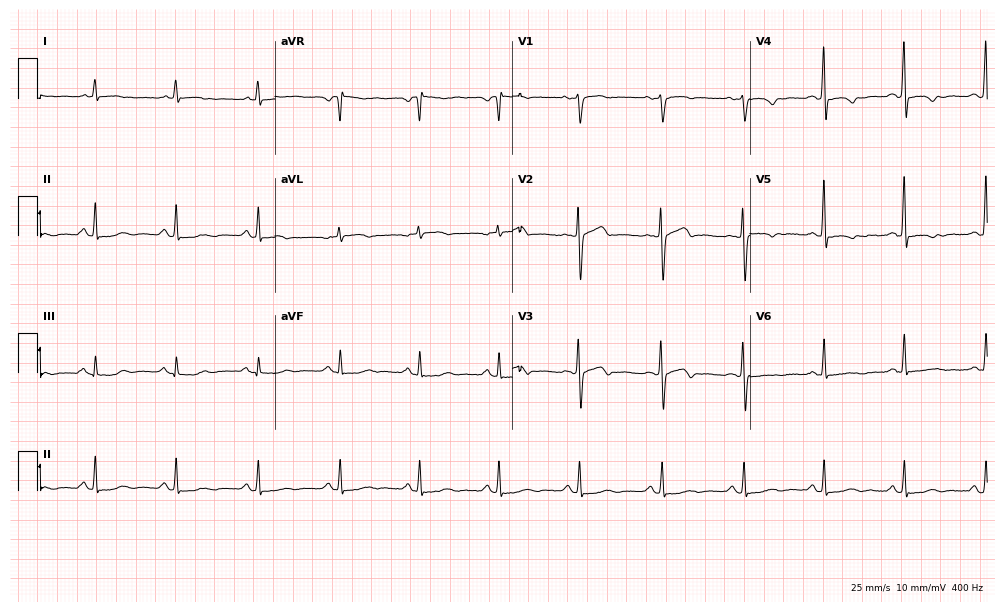
12-lead ECG from a woman, 56 years old. No first-degree AV block, right bundle branch block (RBBB), left bundle branch block (LBBB), sinus bradycardia, atrial fibrillation (AF) or sinus tachycardia recorded for this tracing.